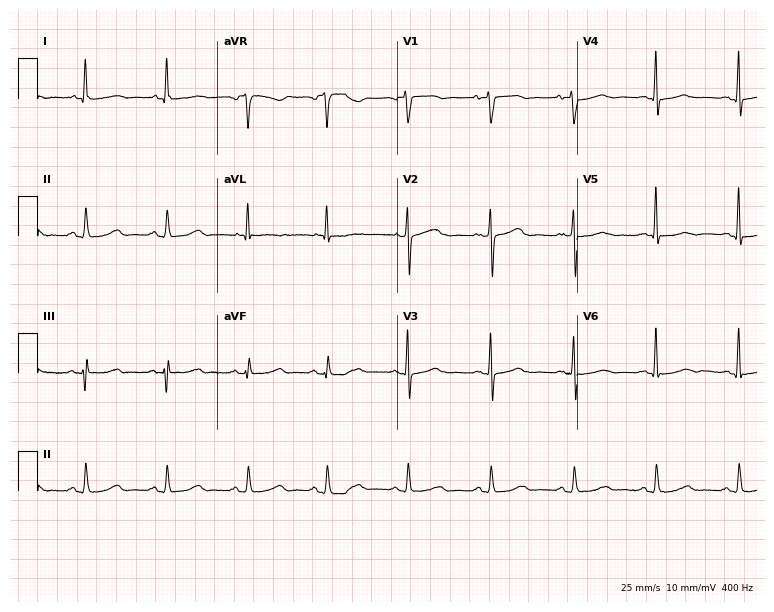
12-lead ECG from a female patient, 56 years old (7.3-second recording at 400 Hz). Recorded interpretation: within normal limits.